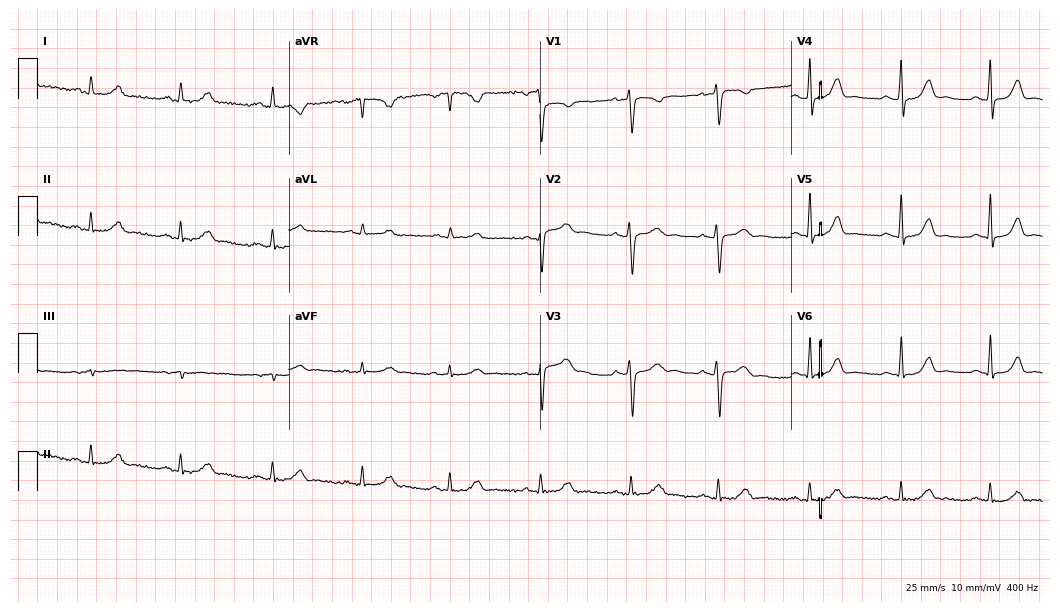
ECG — a 41-year-old male. Labelled as a normal ECG.